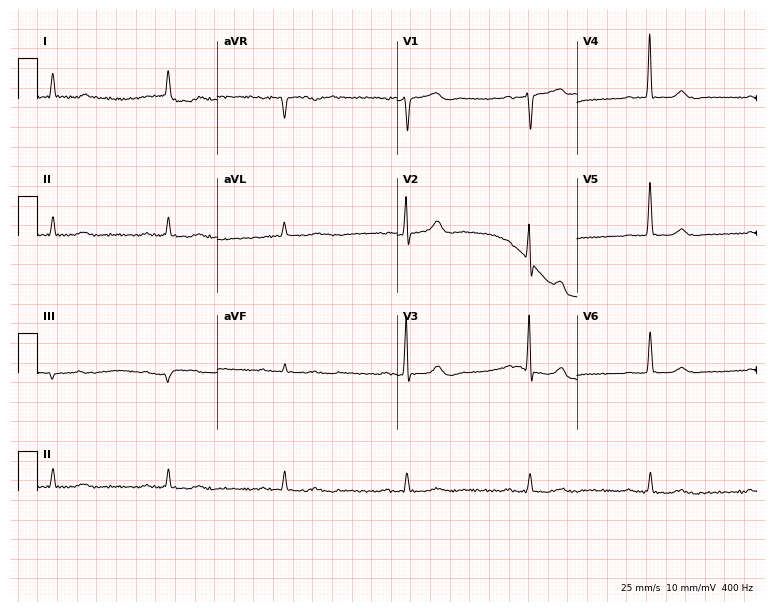
12-lead ECG from an 83-year-old man. Findings include sinus bradycardia (a sinus rate of 50 beats per minute or less).